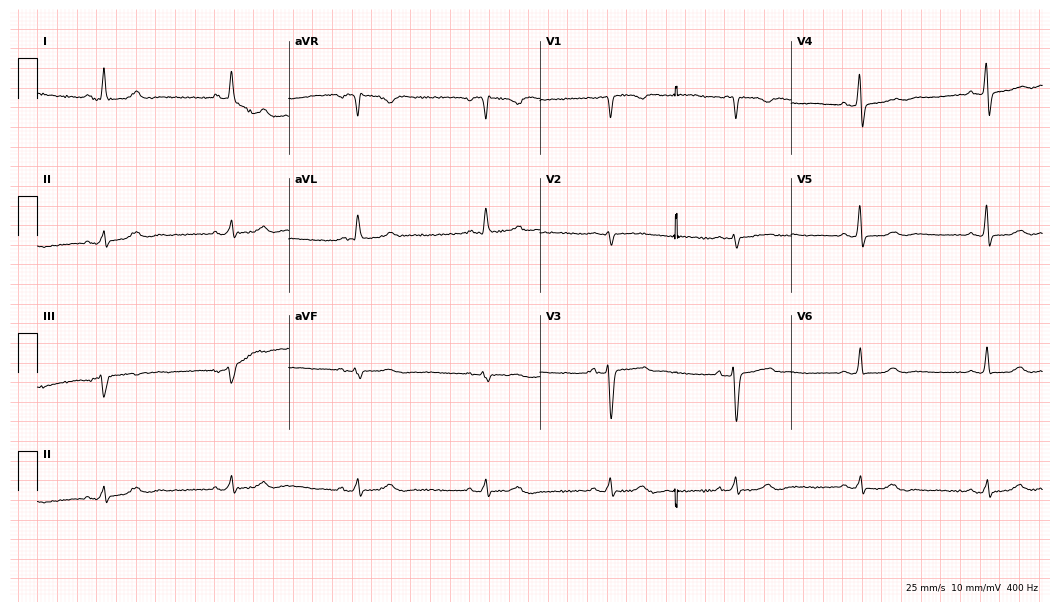
ECG — a 57-year-old woman. Findings include sinus bradycardia (a sinus rate of 50 beats per minute or less).